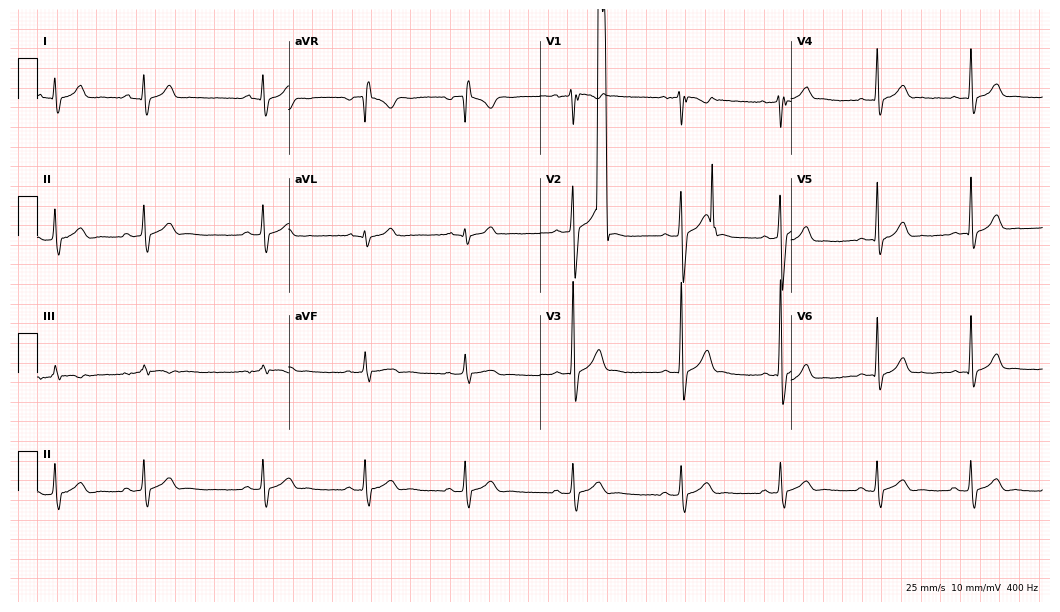
Resting 12-lead electrocardiogram. Patient: a male, 20 years old. None of these six findings is recorded: first-degree AV block, right bundle branch block, left bundle branch block, sinus bradycardia, atrial fibrillation, sinus tachycardia.